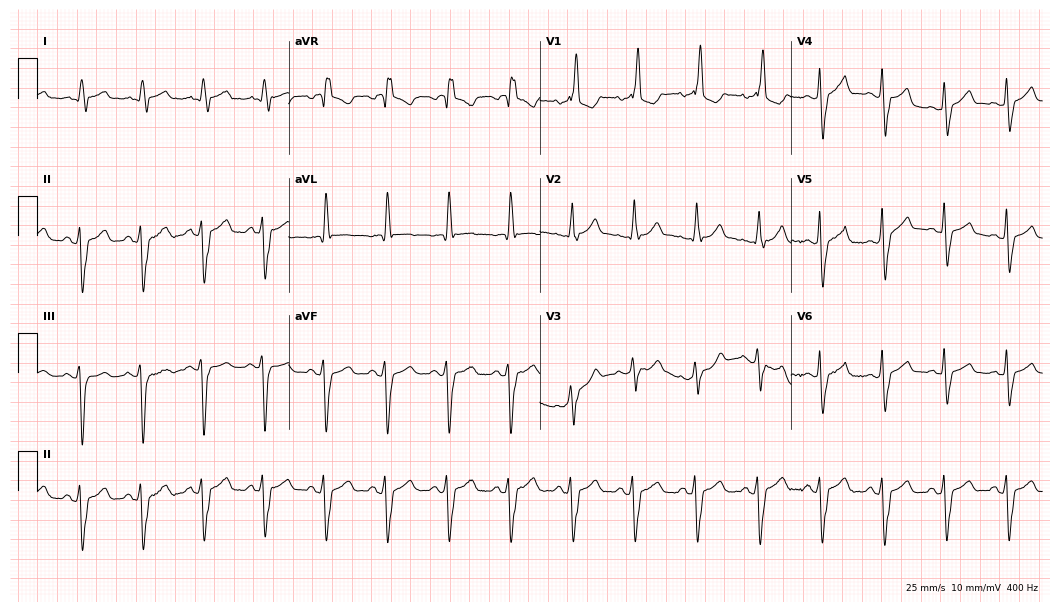
Resting 12-lead electrocardiogram (10.2-second recording at 400 Hz). Patient: a 74-year-old male. The tracing shows right bundle branch block.